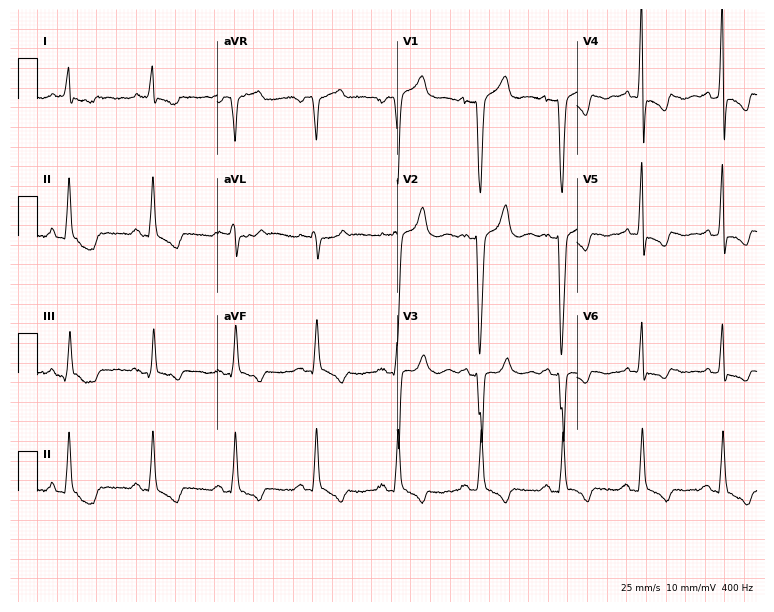
12-lead ECG from a female patient, 64 years old. Screened for six findings — first-degree AV block, right bundle branch block, left bundle branch block, sinus bradycardia, atrial fibrillation, sinus tachycardia — none is recorded. Findings outside these six are not listed.